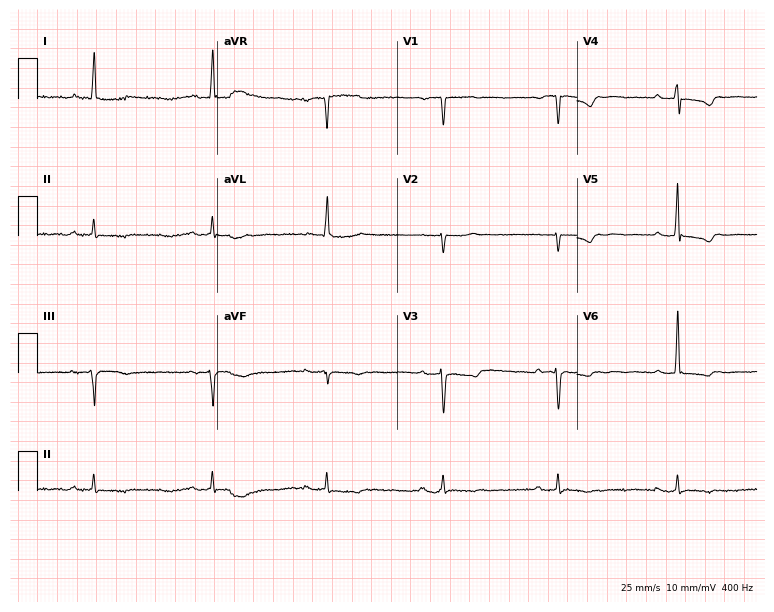
Resting 12-lead electrocardiogram. Patient: a 62-year-old woman. Read as a normal ECG.